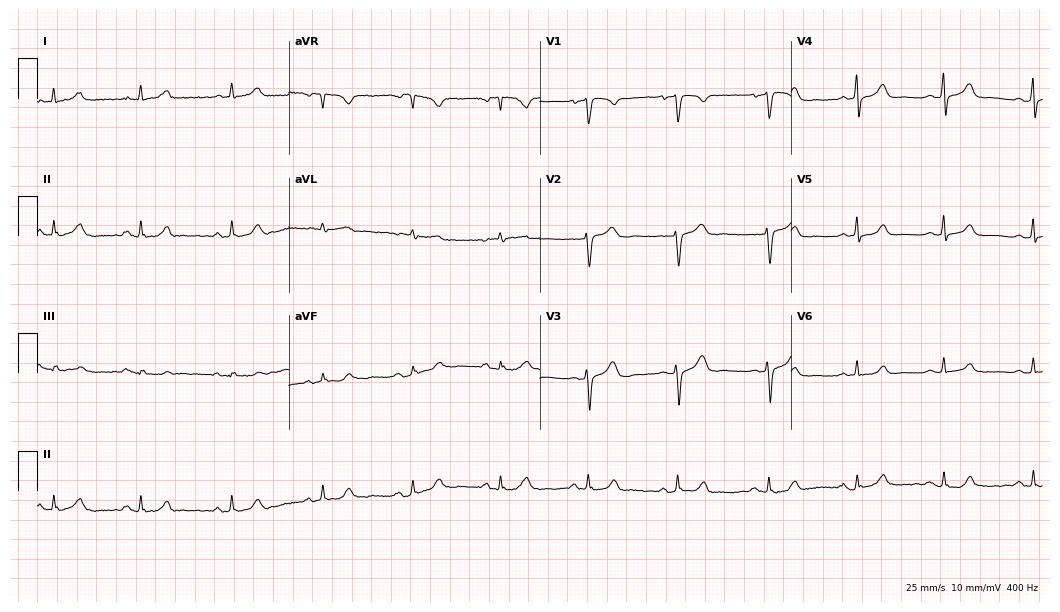
Resting 12-lead electrocardiogram. Patient: a female, 50 years old. Read as a normal ECG.